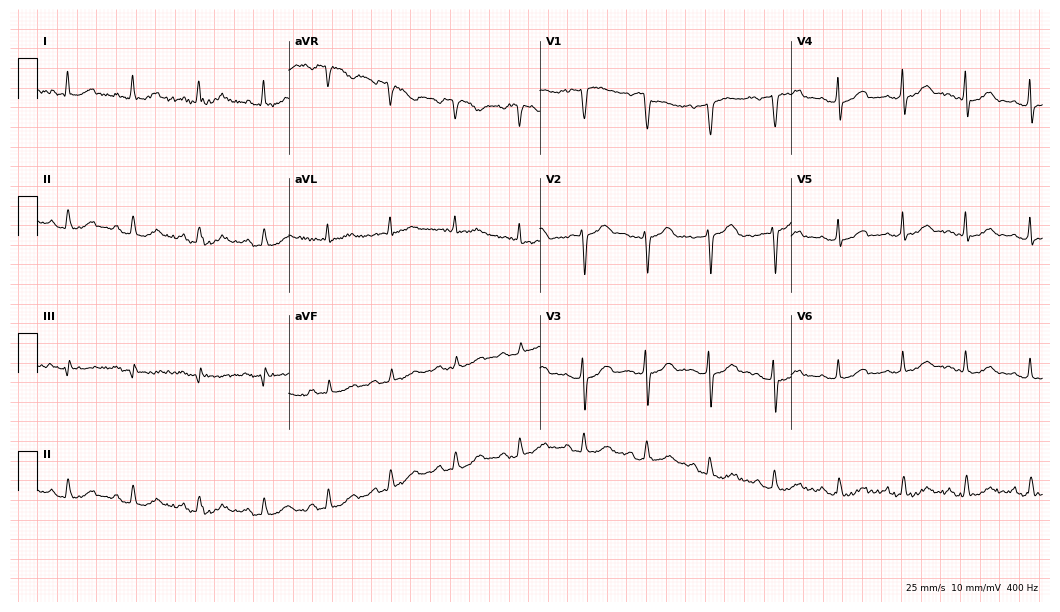
Standard 12-lead ECG recorded from a female patient, 54 years old (10.2-second recording at 400 Hz). Read as a normal ECG.